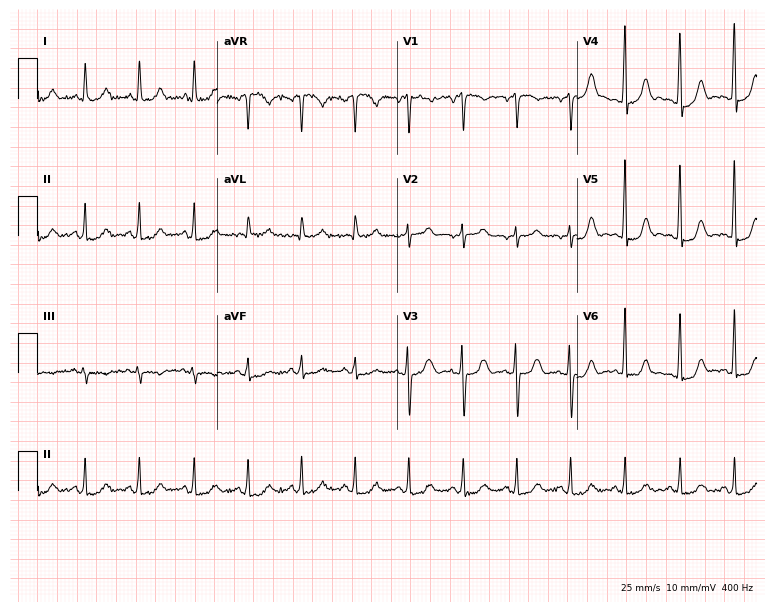
12-lead ECG from a 32-year-old female (7.3-second recording at 400 Hz). Shows sinus tachycardia (a sinus rate of 100 beats per minute or more).